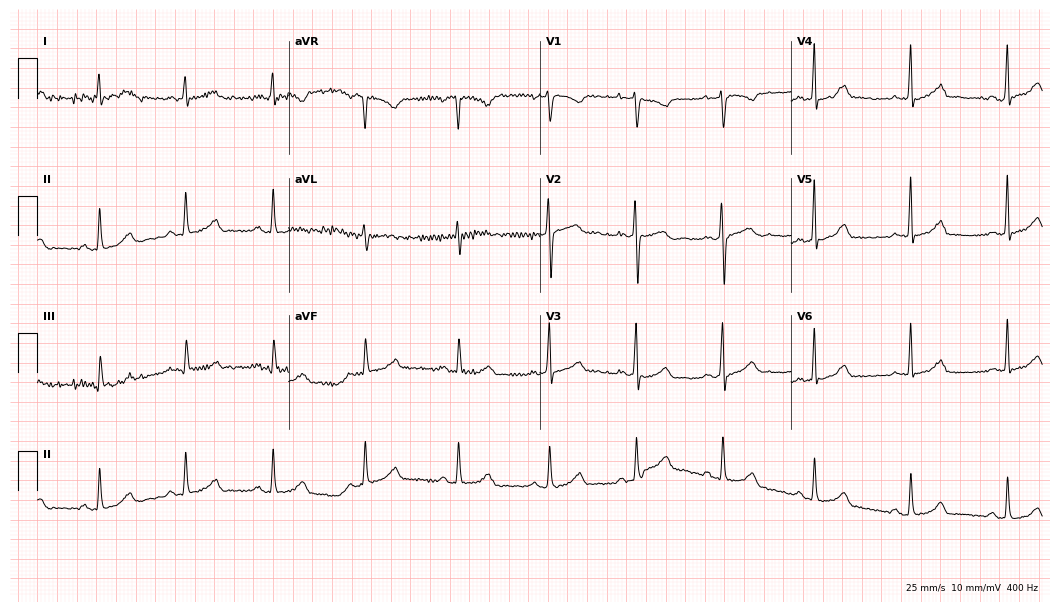
ECG — a 35-year-old female. Labelled as a normal ECG.